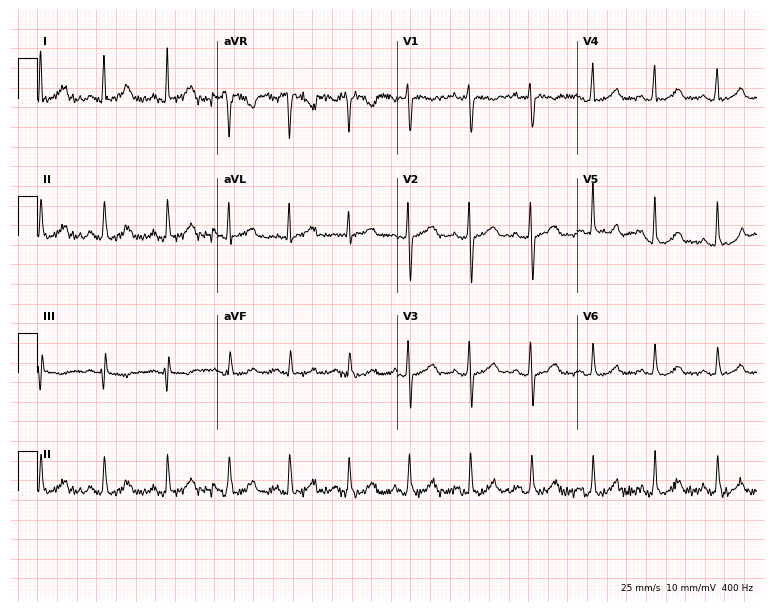
Standard 12-lead ECG recorded from a female, 32 years old (7.3-second recording at 400 Hz). Read as a normal ECG.